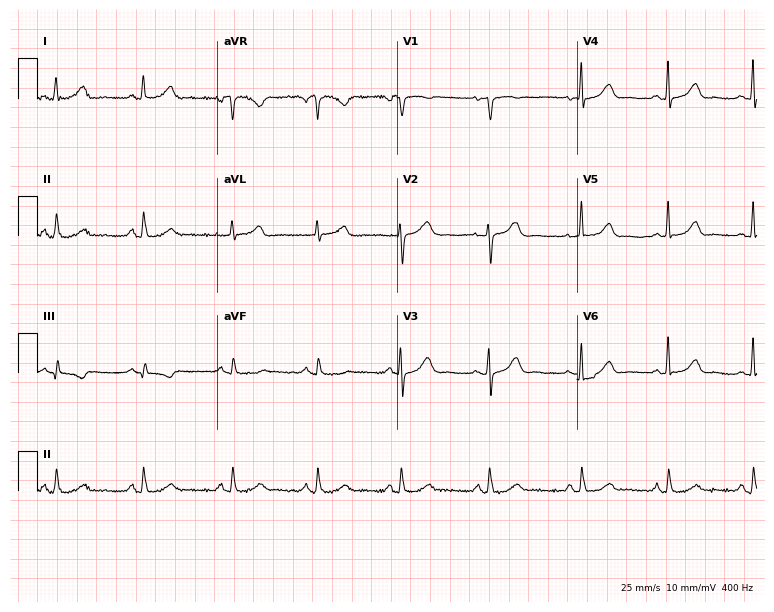
ECG (7.3-second recording at 400 Hz) — a female, 51 years old. Labelled as a normal ECG.